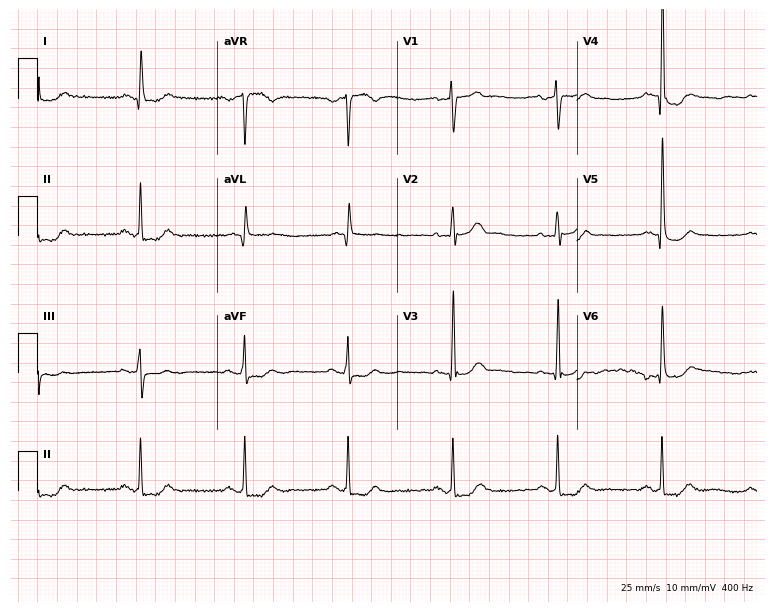
Resting 12-lead electrocardiogram. Patient: a 79-year-old male. None of these six findings is recorded: first-degree AV block, right bundle branch block, left bundle branch block, sinus bradycardia, atrial fibrillation, sinus tachycardia. Only these six findings were labelled.